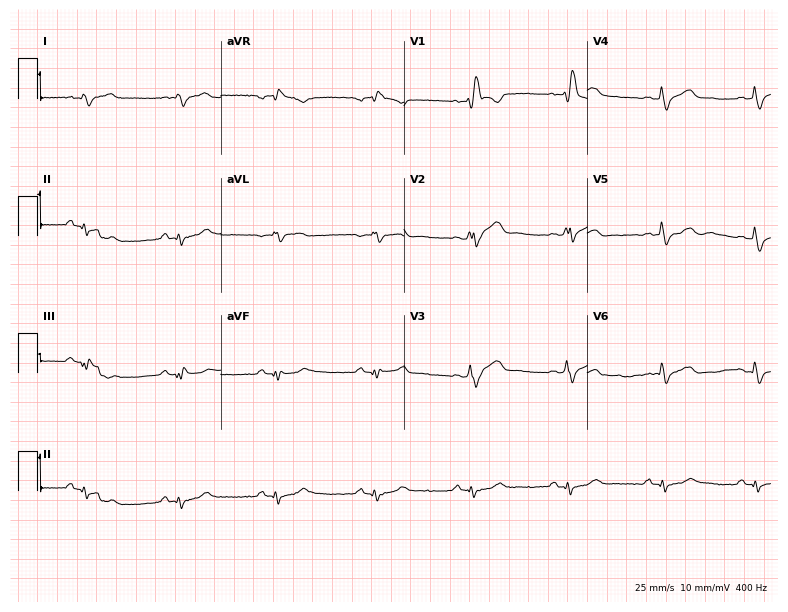
Electrocardiogram (7.5-second recording at 400 Hz), a male patient, 57 years old. Of the six screened findings (first-degree AV block, right bundle branch block (RBBB), left bundle branch block (LBBB), sinus bradycardia, atrial fibrillation (AF), sinus tachycardia), none is recorded.